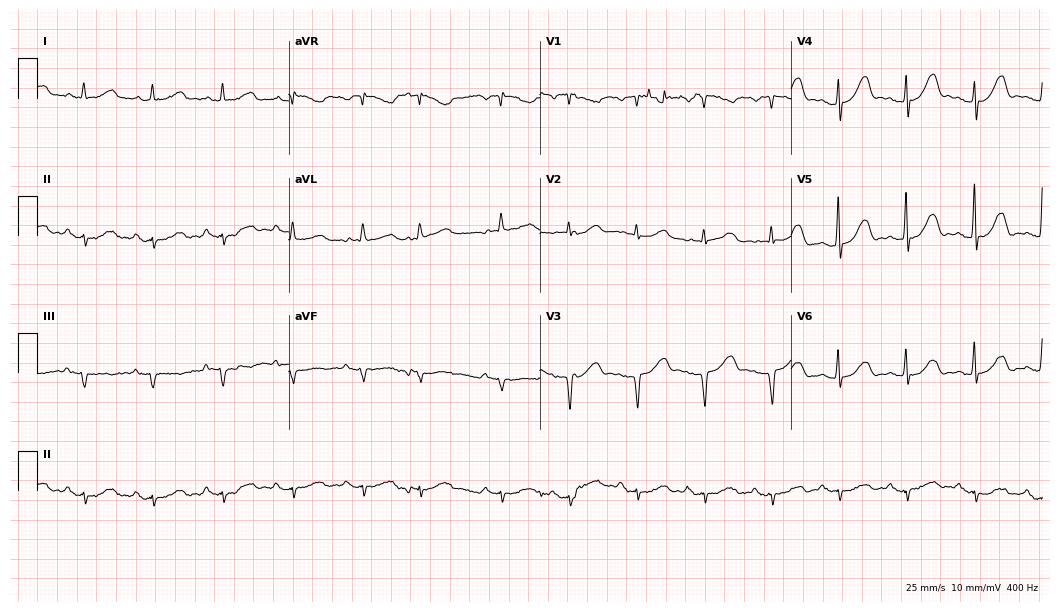
Resting 12-lead electrocardiogram. Patient: a 66-year-old male. None of these six findings is recorded: first-degree AV block, right bundle branch block, left bundle branch block, sinus bradycardia, atrial fibrillation, sinus tachycardia. Only these six findings were labelled.